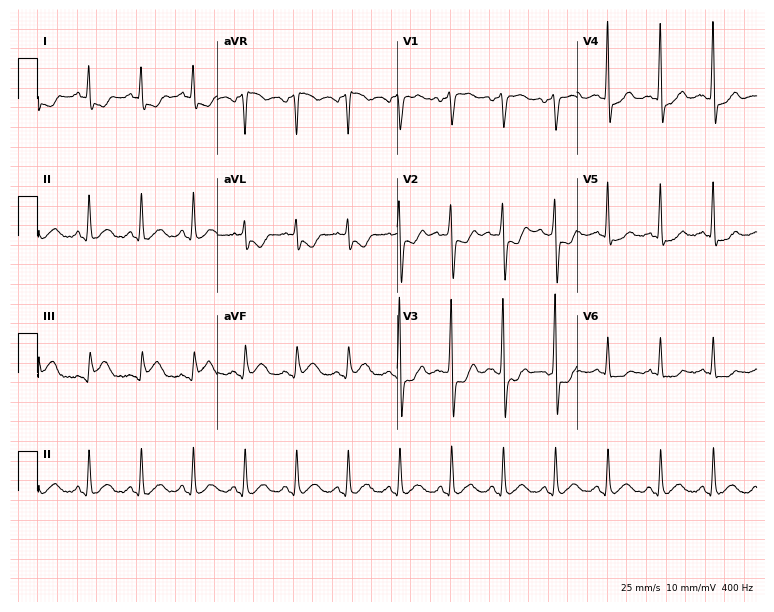
Resting 12-lead electrocardiogram (7.3-second recording at 400 Hz). Patient: a 56-year-old man. The tracing shows sinus tachycardia (a sinus rate of 100 beats per minute or more).